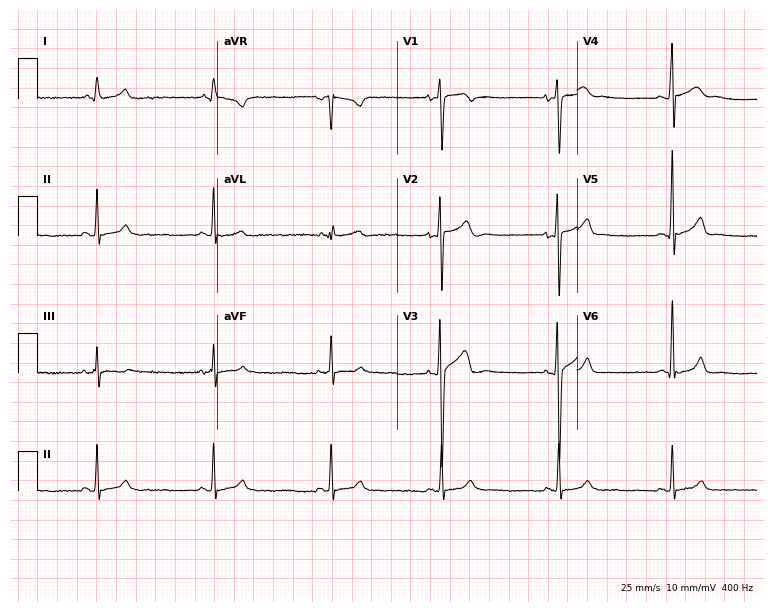
12-lead ECG from a male, 25 years old (7.3-second recording at 400 Hz). Recorded interpretation: within normal limits.